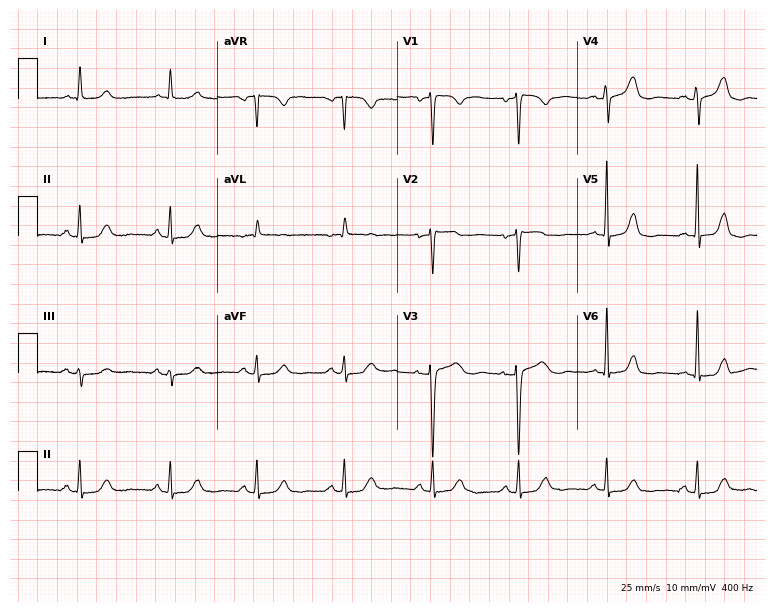
12-lead ECG from a 74-year-old woman (7.3-second recording at 400 Hz). Recorded interpretation: within normal limits.